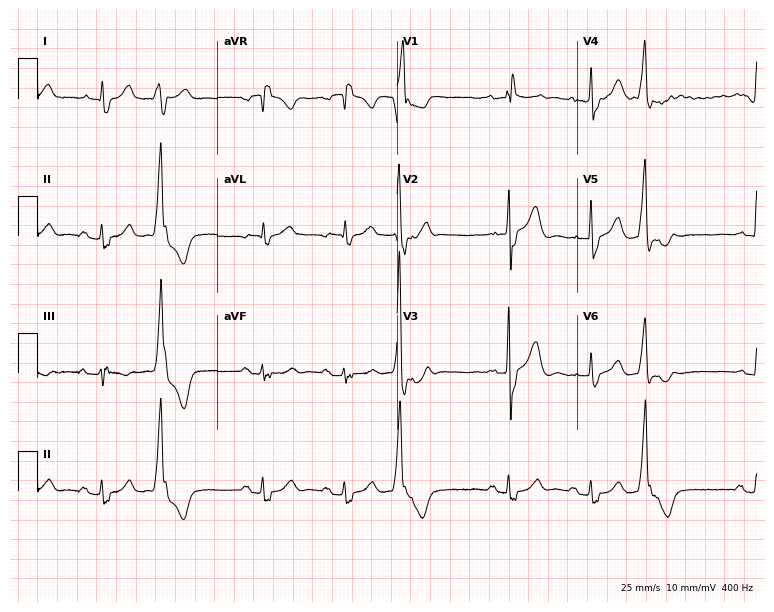
ECG — a woman, 78 years old. Findings include right bundle branch block.